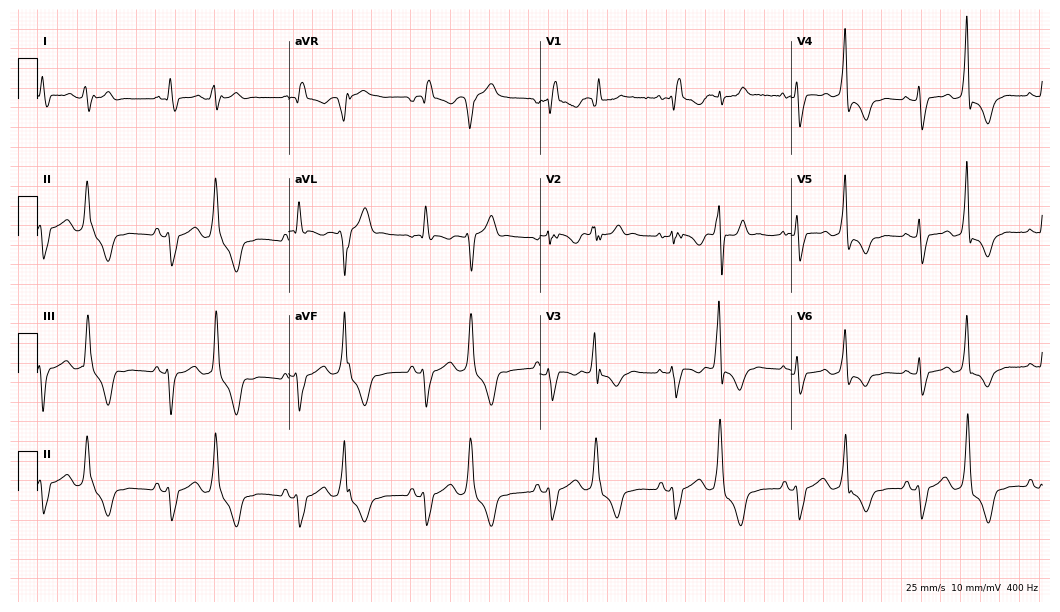
12-lead ECG from a 39-year-old woman. Findings include right bundle branch block.